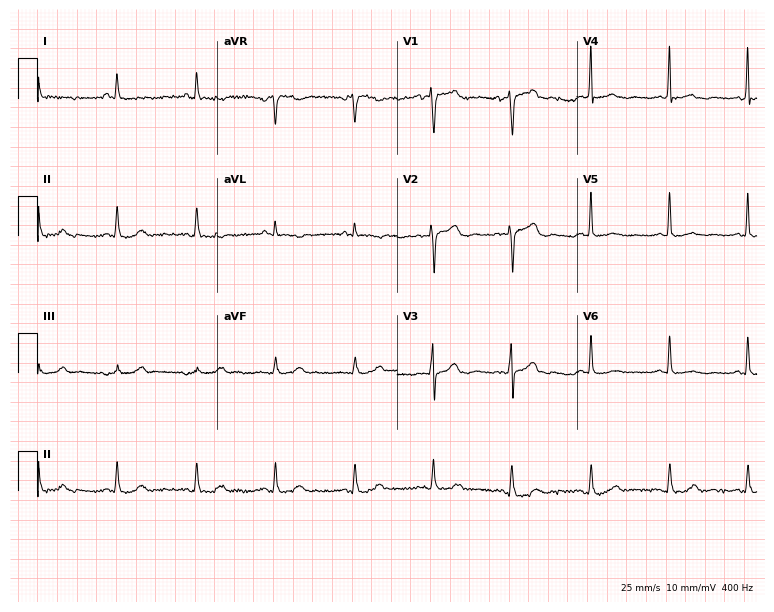
Resting 12-lead electrocardiogram. Patient: a 69-year-old woman. None of these six findings is recorded: first-degree AV block, right bundle branch block, left bundle branch block, sinus bradycardia, atrial fibrillation, sinus tachycardia. Findings outside these six are not listed.